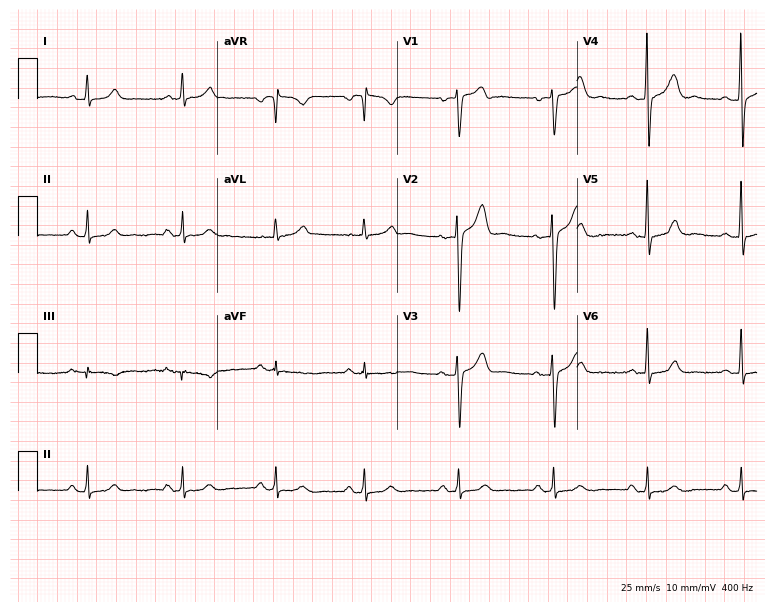
Electrocardiogram (7.3-second recording at 400 Hz), a man, 59 years old. Overall reading on record: normal ECG.